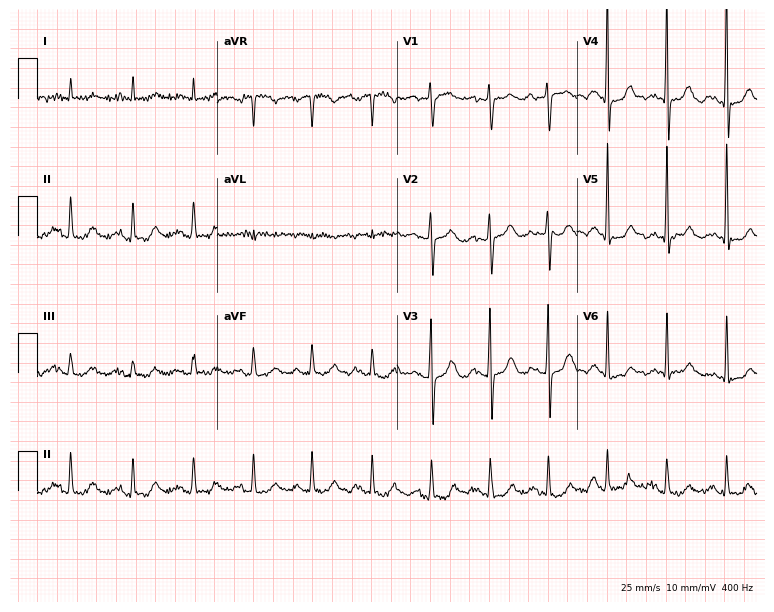
12-lead ECG from a woman, 81 years old. Screened for six findings — first-degree AV block, right bundle branch block (RBBB), left bundle branch block (LBBB), sinus bradycardia, atrial fibrillation (AF), sinus tachycardia — none is recorded. Other findings, if any, are not listed.